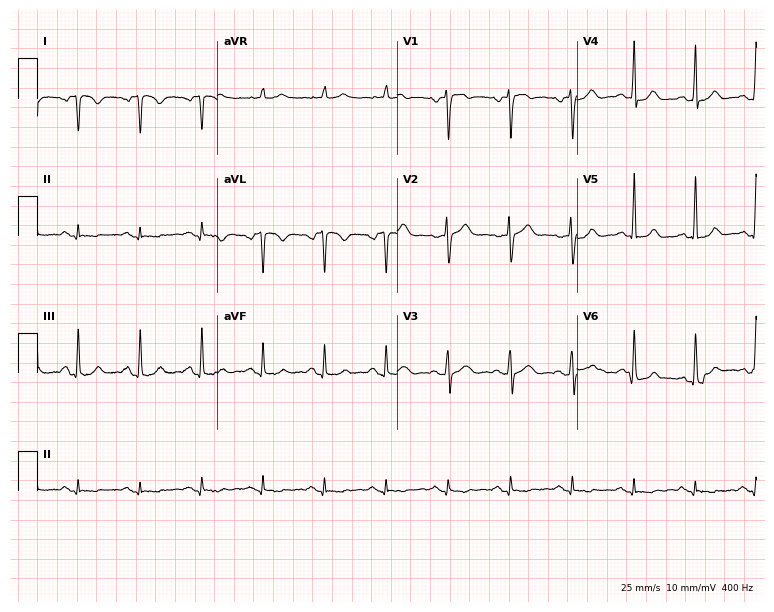
12-lead ECG (7.3-second recording at 400 Hz) from a 49-year-old male patient. Screened for six findings — first-degree AV block, right bundle branch block (RBBB), left bundle branch block (LBBB), sinus bradycardia, atrial fibrillation (AF), sinus tachycardia — none is recorded.